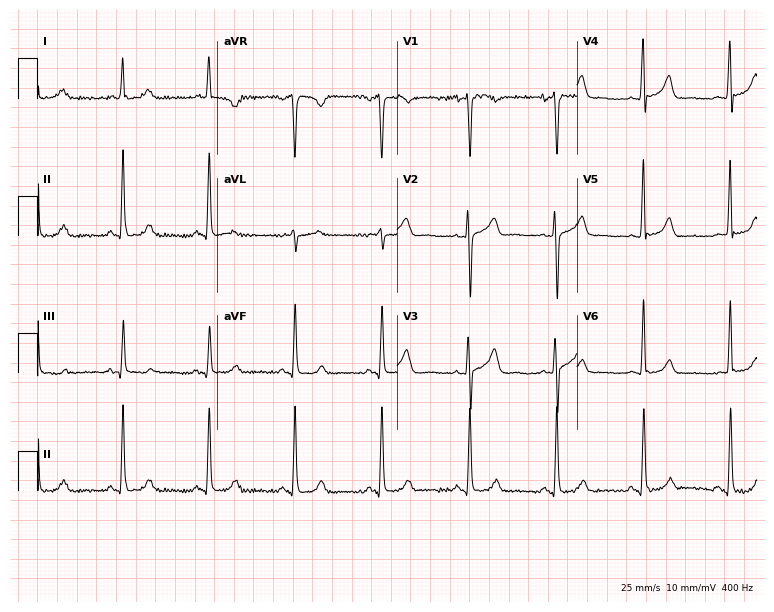
12-lead ECG from a 78-year-old female patient. Labelled as a normal ECG.